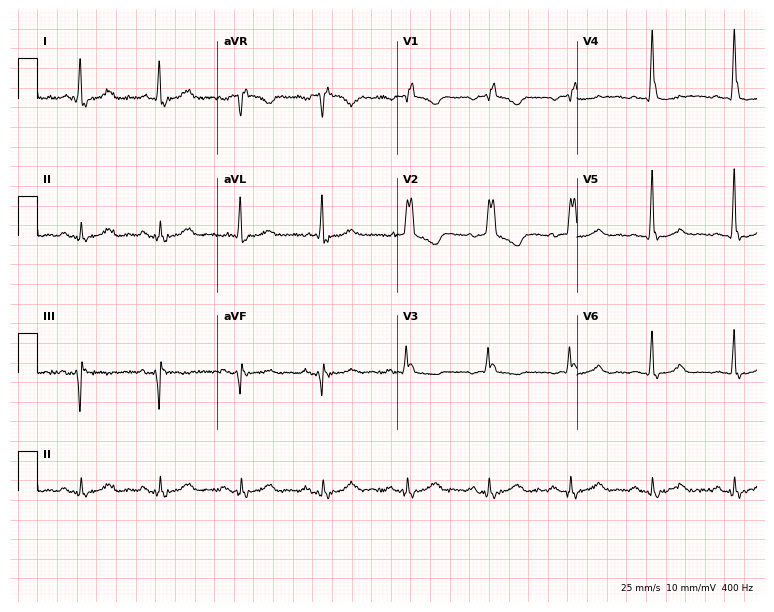
Resting 12-lead electrocardiogram (7.3-second recording at 400 Hz). Patient: a 75-year-old female. None of these six findings is recorded: first-degree AV block, right bundle branch block, left bundle branch block, sinus bradycardia, atrial fibrillation, sinus tachycardia. Findings outside these six are not listed.